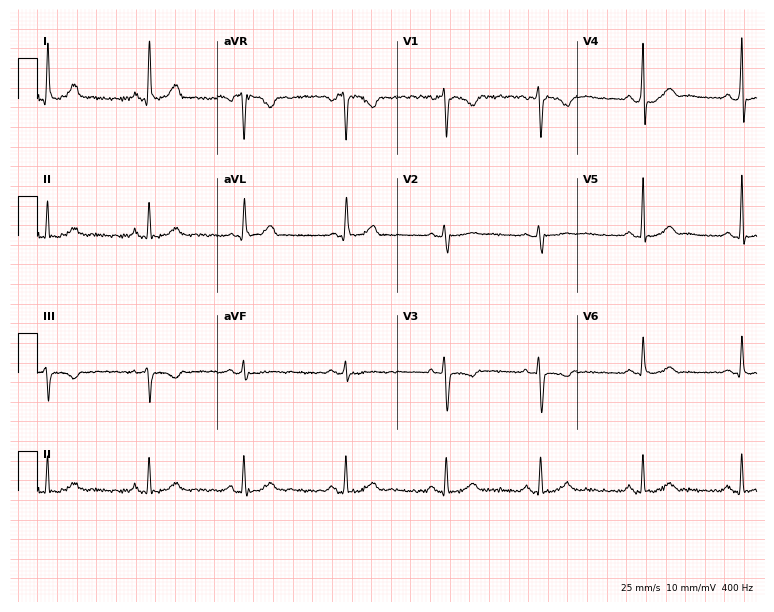
12-lead ECG from a woman, 30 years old. Labelled as a normal ECG.